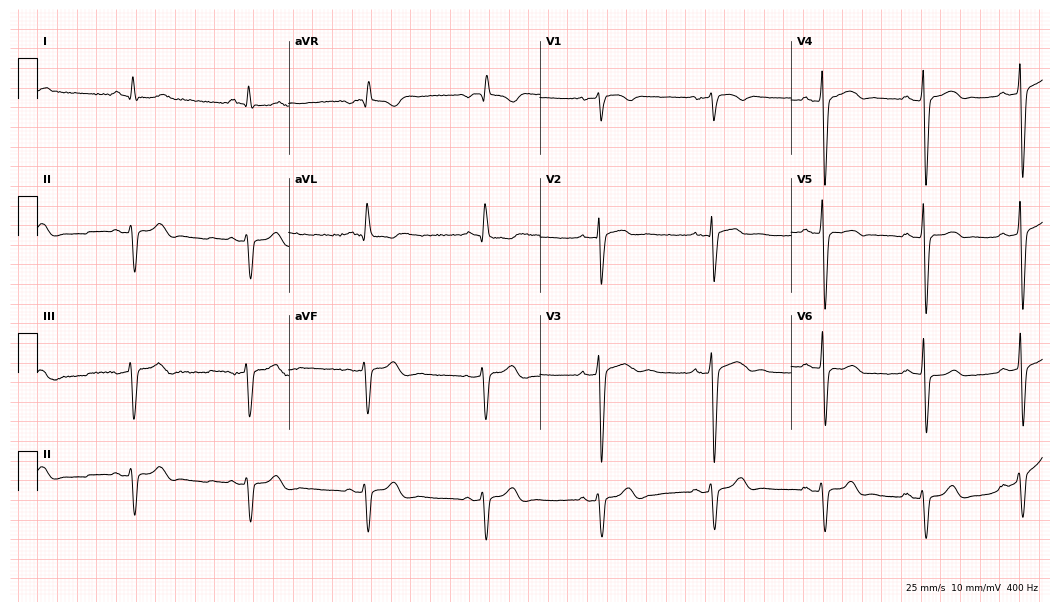
Electrocardiogram (10.2-second recording at 400 Hz), a 71-year-old man. Of the six screened findings (first-degree AV block, right bundle branch block, left bundle branch block, sinus bradycardia, atrial fibrillation, sinus tachycardia), none is recorded. Only these six findings were labelled.